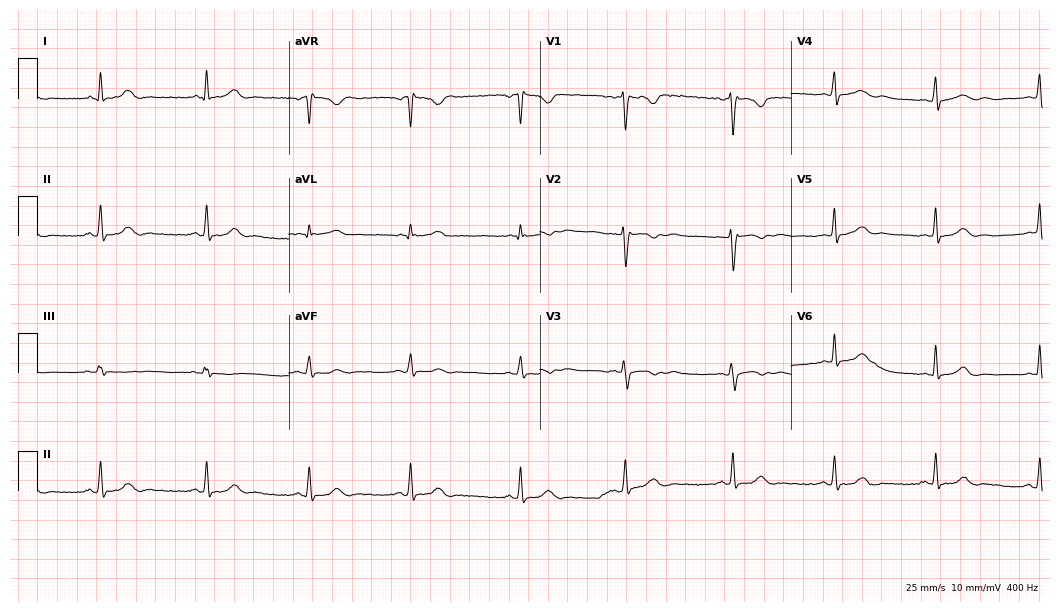
Resting 12-lead electrocardiogram (10.2-second recording at 400 Hz). Patient: a woman, 32 years old. Read as a normal ECG.